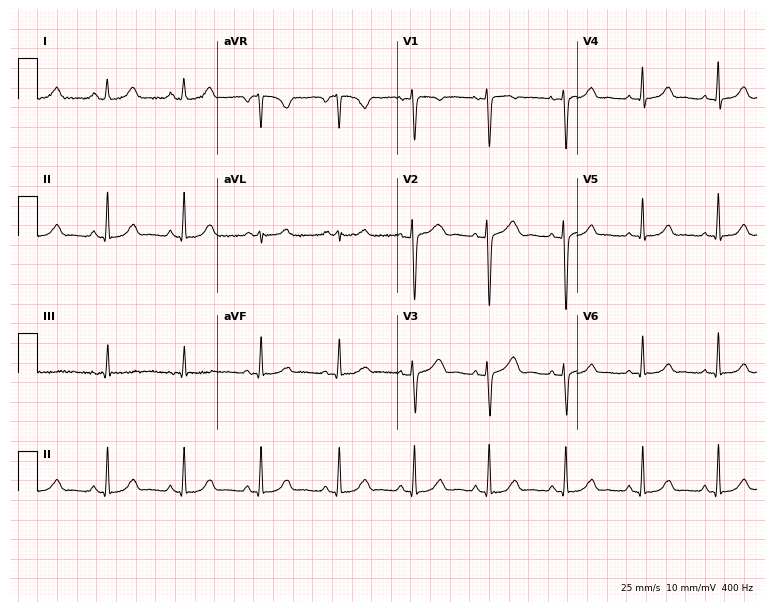
Electrocardiogram (7.3-second recording at 400 Hz), a woman, 29 years old. Of the six screened findings (first-degree AV block, right bundle branch block (RBBB), left bundle branch block (LBBB), sinus bradycardia, atrial fibrillation (AF), sinus tachycardia), none is recorded. Other findings, if any, are not listed.